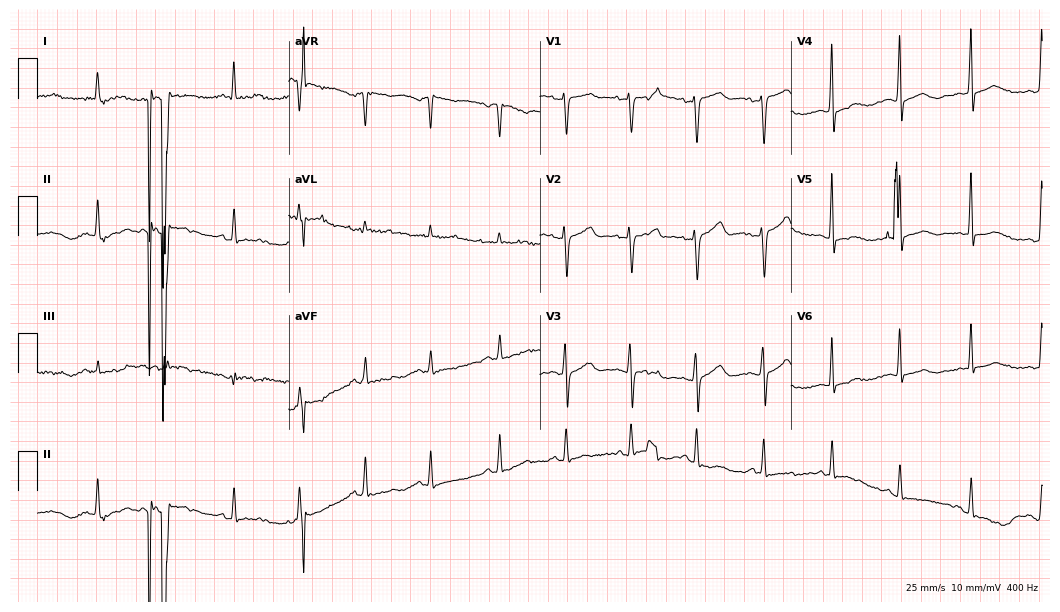
Standard 12-lead ECG recorded from a female patient, 41 years old (10.2-second recording at 400 Hz). Read as a normal ECG.